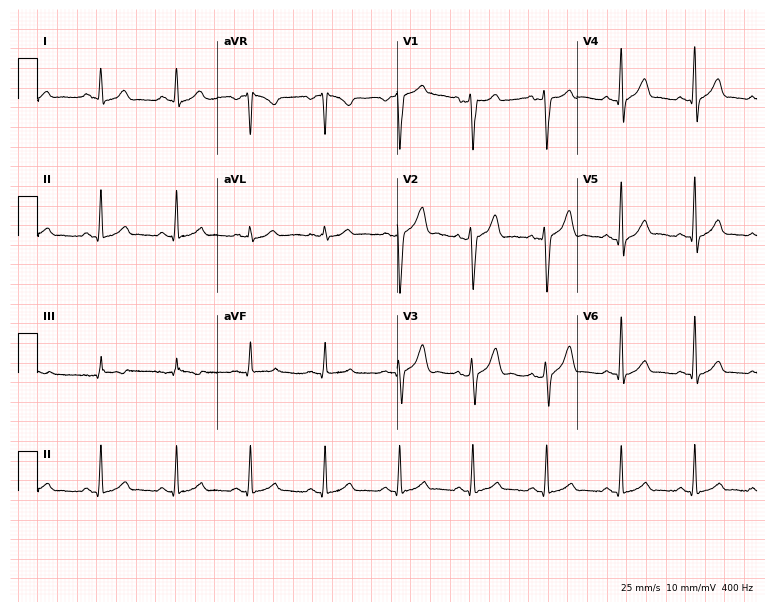
Standard 12-lead ECG recorded from a 39-year-old male. Read as a normal ECG.